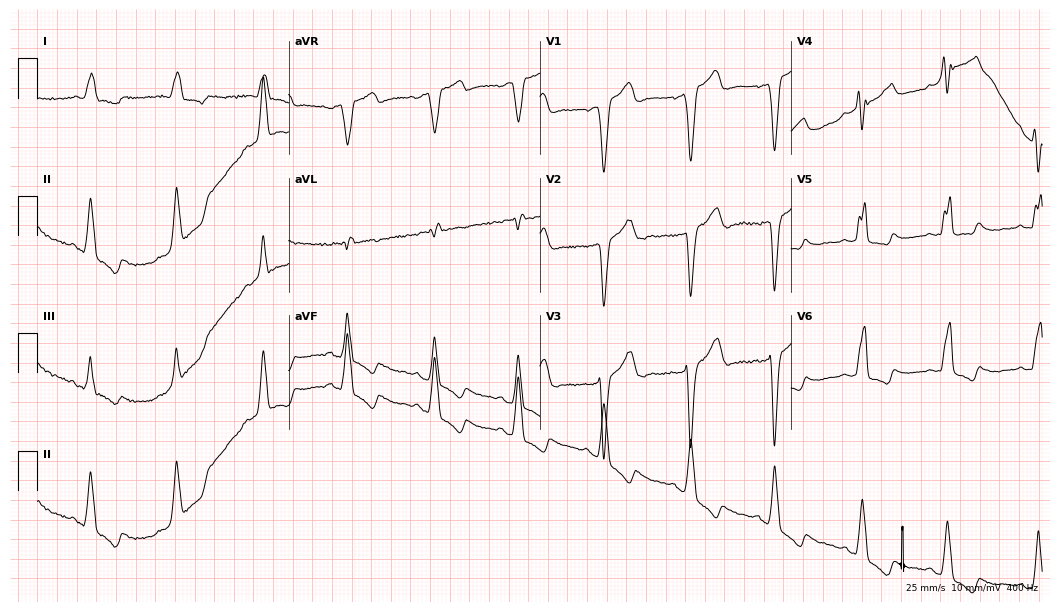
12-lead ECG (10.2-second recording at 400 Hz) from an 80-year-old male. Screened for six findings — first-degree AV block, right bundle branch block, left bundle branch block, sinus bradycardia, atrial fibrillation, sinus tachycardia — none is recorded. Only these six findings were labelled.